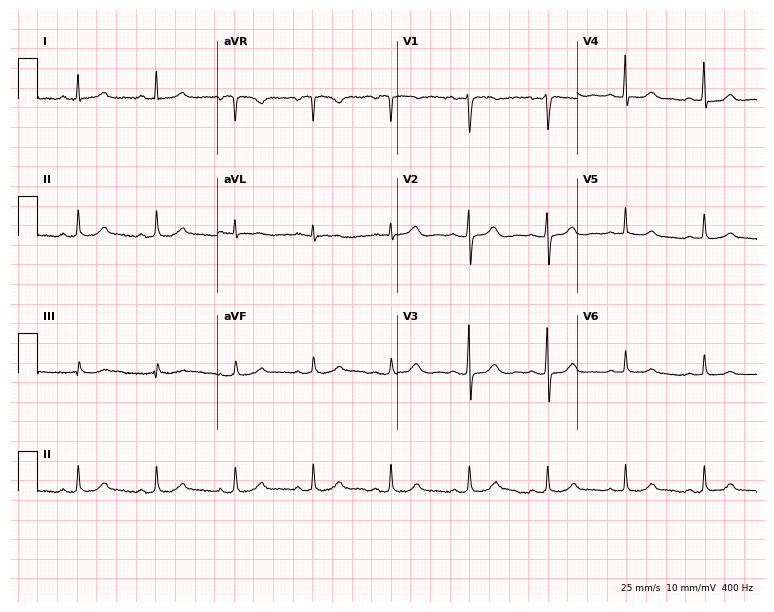
Resting 12-lead electrocardiogram (7.3-second recording at 400 Hz). Patient: a female, 59 years old. None of these six findings is recorded: first-degree AV block, right bundle branch block, left bundle branch block, sinus bradycardia, atrial fibrillation, sinus tachycardia. Other findings, if any, are not listed.